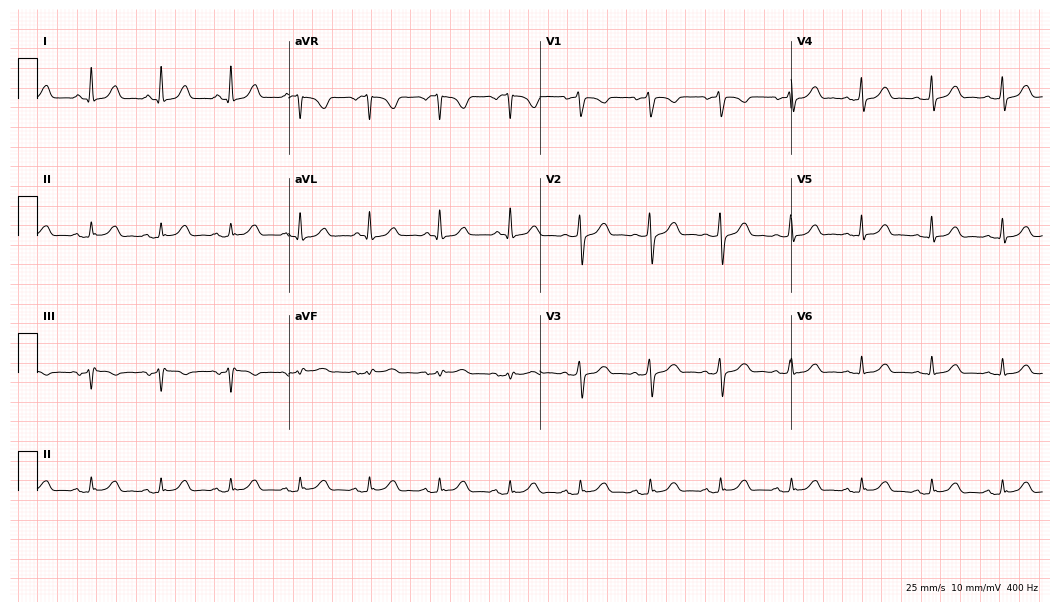
Resting 12-lead electrocardiogram (10.2-second recording at 400 Hz). Patient: a 67-year-old female. Read as a normal ECG.